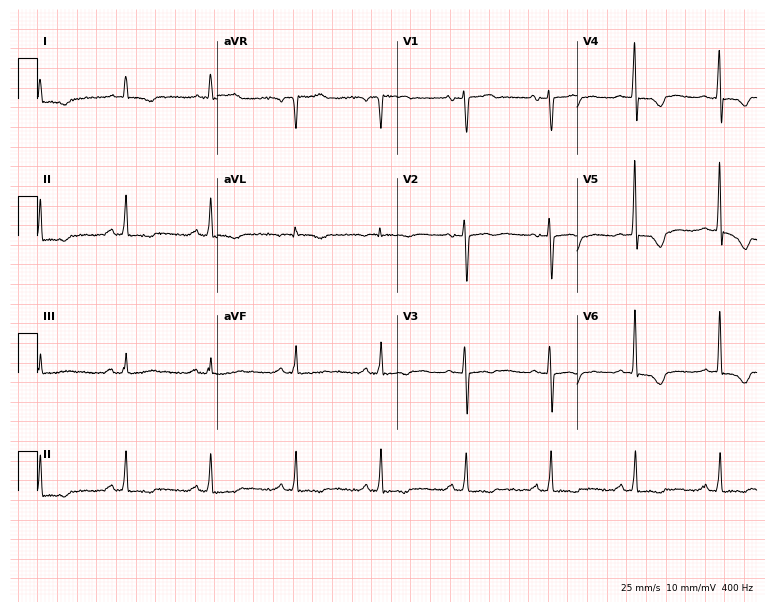
Electrocardiogram (7.3-second recording at 400 Hz), a female patient, 67 years old. Of the six screened findings (first-degree AV block, right bundle branch block (RBBB), left bundle branch block (LBBB), sinus bradycardia, atrial fibrillation (AF), sinus tachycardia), none is recorded.